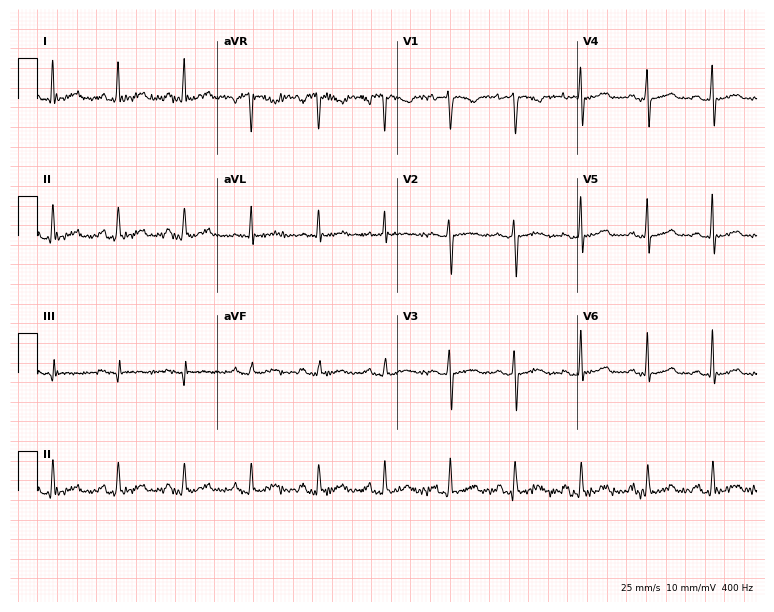
Standard 12-lead ECG recorded from a 26-year-old female (7.3-second recording at 400 Hz). Read as a normal ECG.